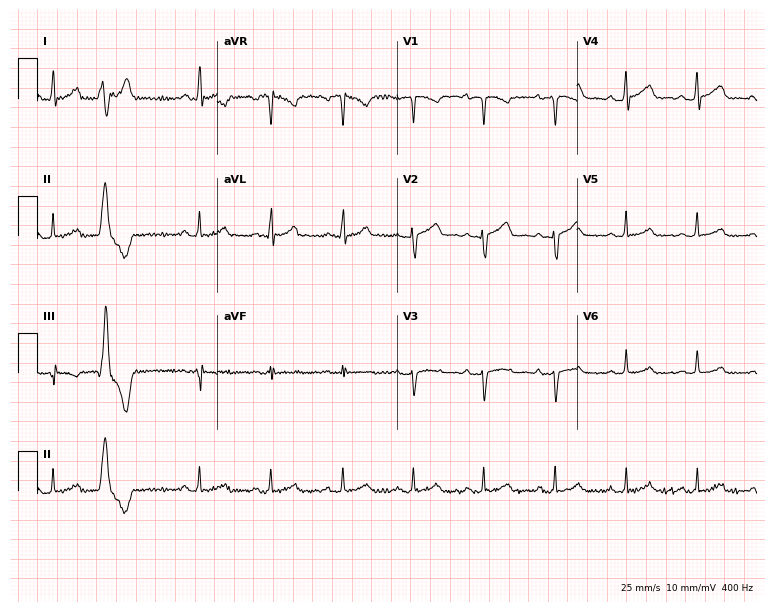
ECG — a 36-year-old female. Screened for six findings — first-degree AV block, right bundle branch block, left bundle branch block, sinus bradycardia, atrial fibrillation, sinus tachycardia — none is recorded.